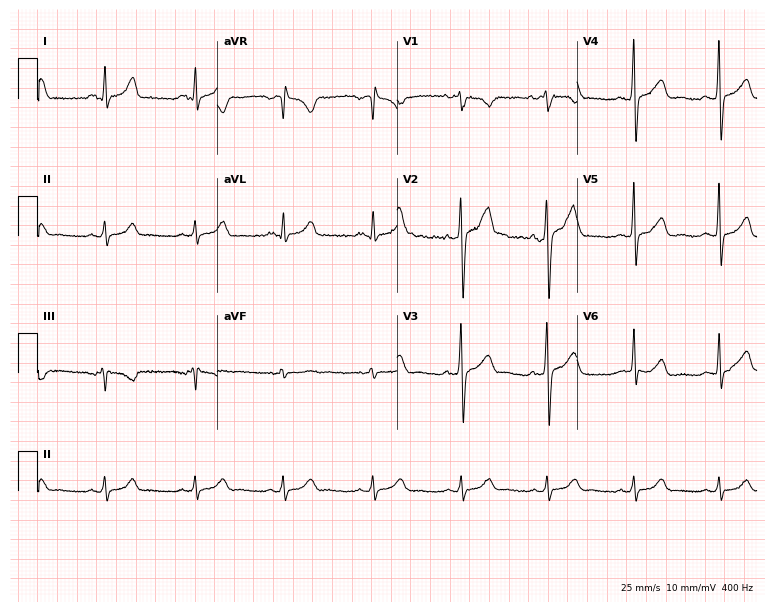
ECG (7.3-second recording at 400 Hz) — a 44-year-old male. Labelled as a normal ECG.